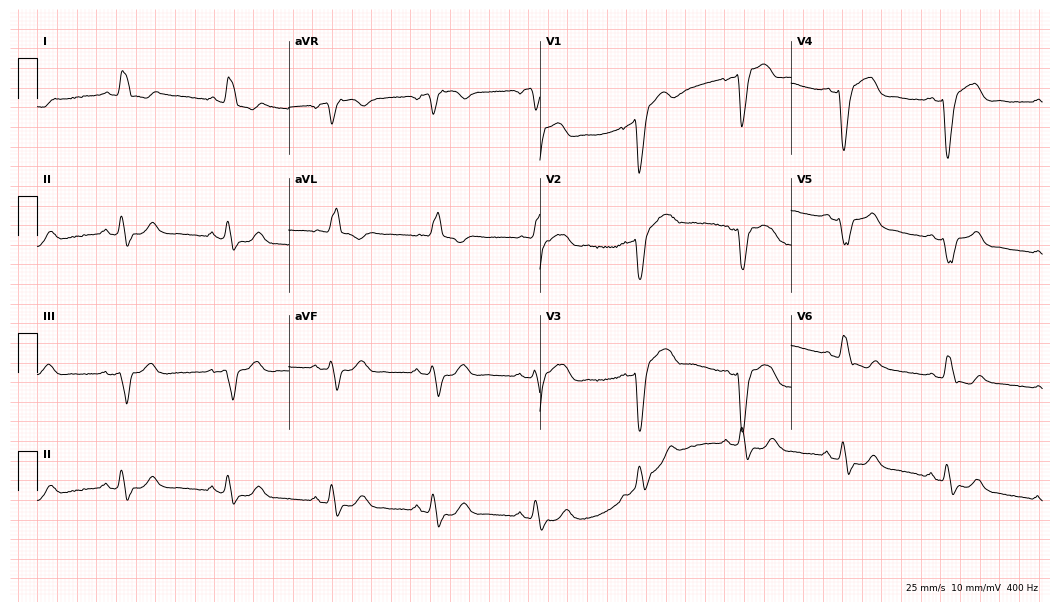
Resting 12-lead electrocardiogram. Patient: a 57-year-old woman. The tracing shows left bundle branch block.